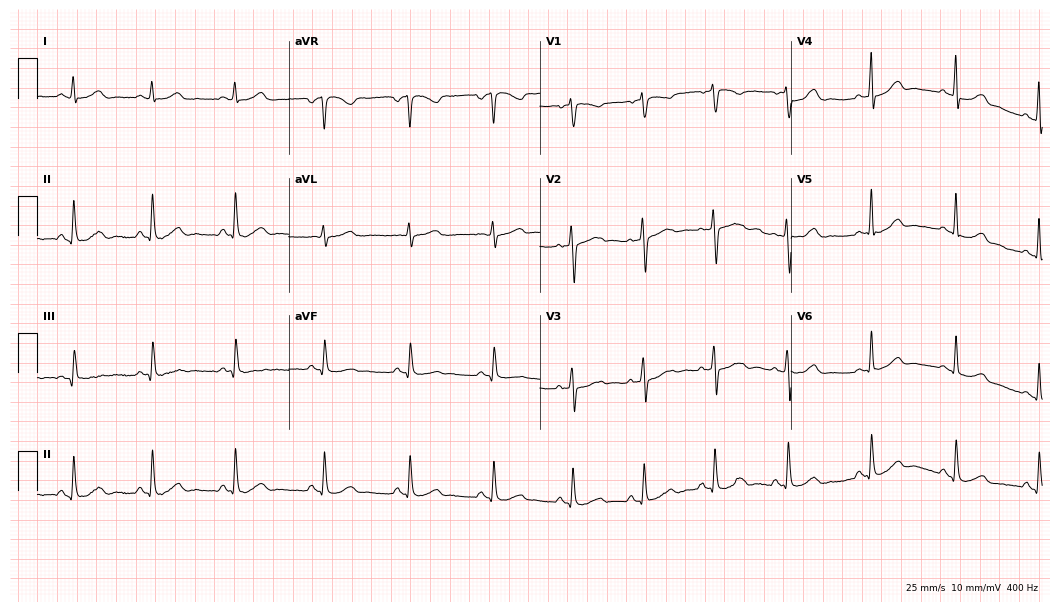
Electrocardiogram (10.2-second recording at 400 Hz), a 46-year-old woman. Overall reading on record: normal ECG.